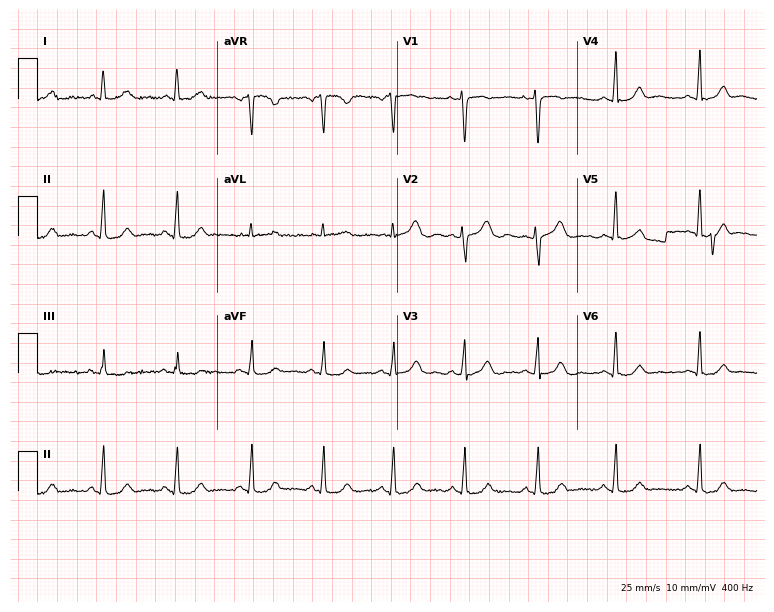
Resting 12-lead electrocardiogram (7.3-second recording at 400 Hz). Patient: a female, 33 years old. Read as a normal ECG.